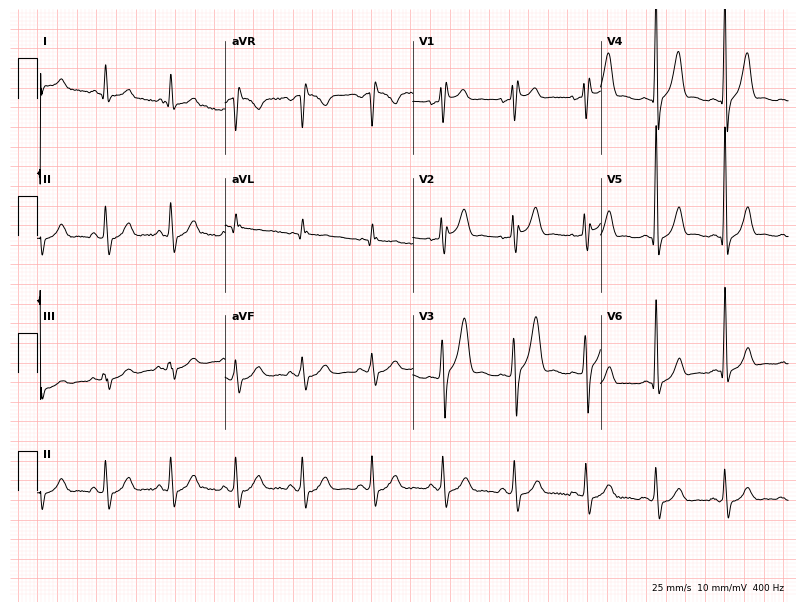
Electrocardiogram, a 32-year-old man. Of the six screened findings (first-degree AV block, right bundle branch block, left bundle branch block, sinus bradycardia, atrial fibrillation, sinus tachycardia), none is recorded.